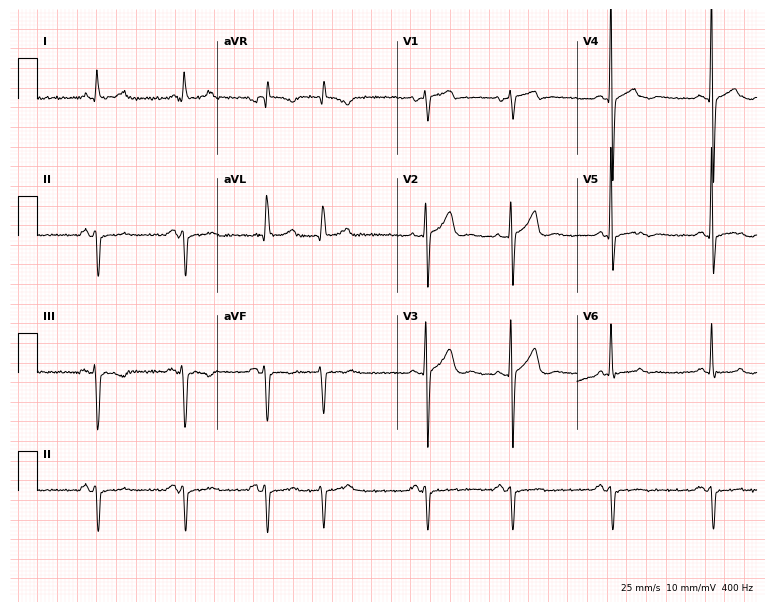
Electrocardiogram (7.3-second recording at 400 Hz), a 67-year-old male. Of the six screened findings (first-degree AV block, right bundle branch block, left bundle branch block, sinus bradycardia, atrial fibrillation, sinus tachycardia), none is recorded.